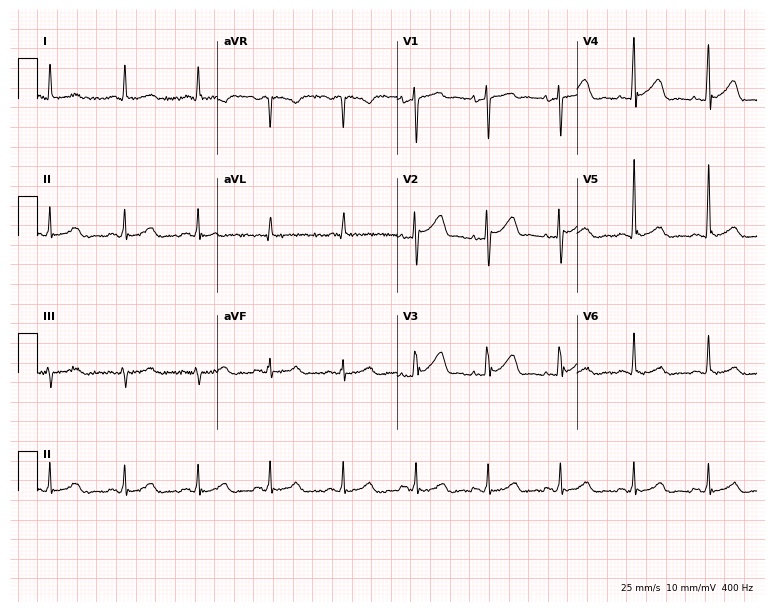
Resting 12-lead electrocardiogram (7.3-second recording at 400 Hz). Patient: a 74-year-old man. None of these six findings is recorded: first-degree AV block, right bundle branch block (RBBB), left bundle branch block (LBBB), sinus bradycardia, atrial fibrillation (AF), sinus tachycardia.